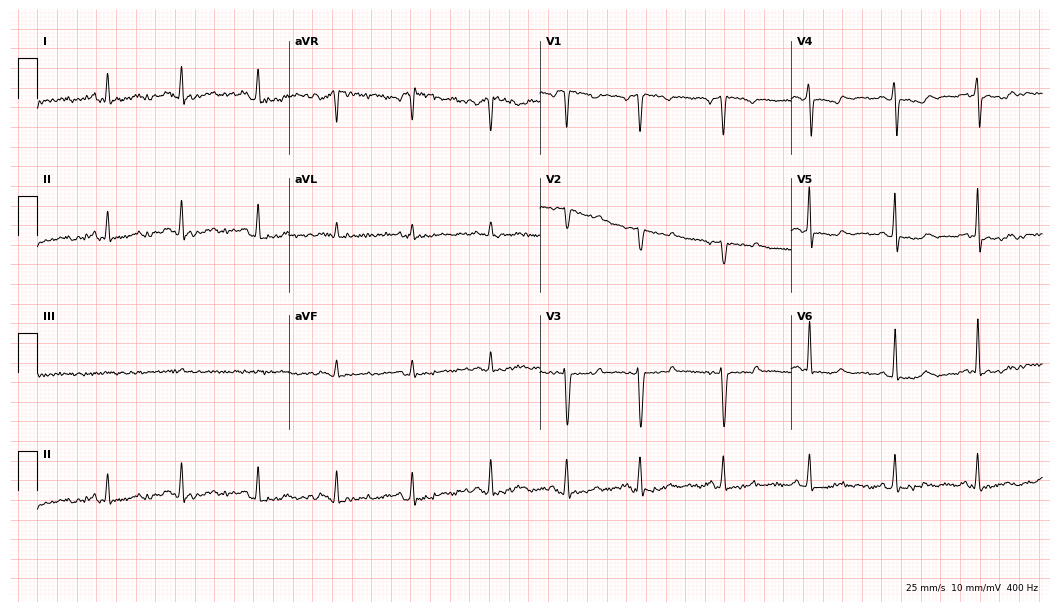
12-lead ECG from a 33-year-old female. No first-degree AV block, right bundle branch block (RBBB), left bundle branch block (LBBB), sinus bradycardia, atrial fibrillation (AF) or sinus tachycardia recorded for this tracing. Other findings, if any, are not listed.